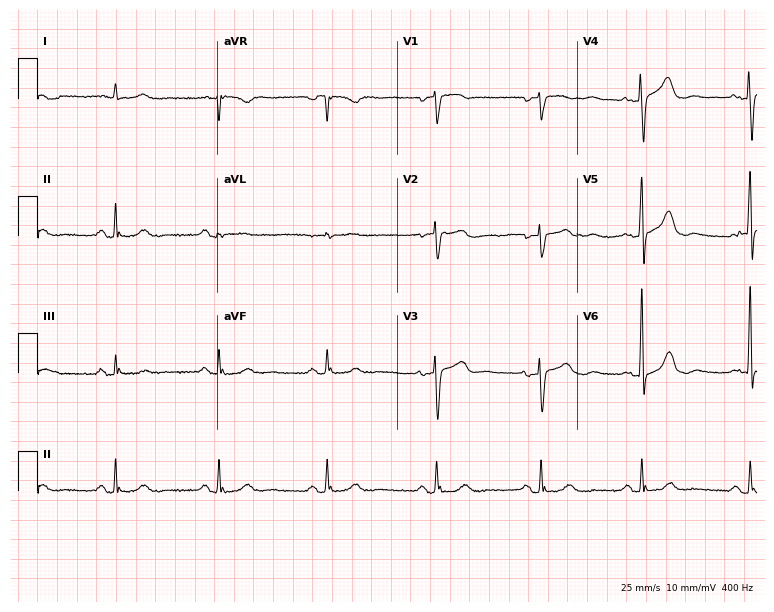
12-lead ECG (7.3-second recording at 400 Hz) from a 77-year-old woman. Labelled as a normal ECG.